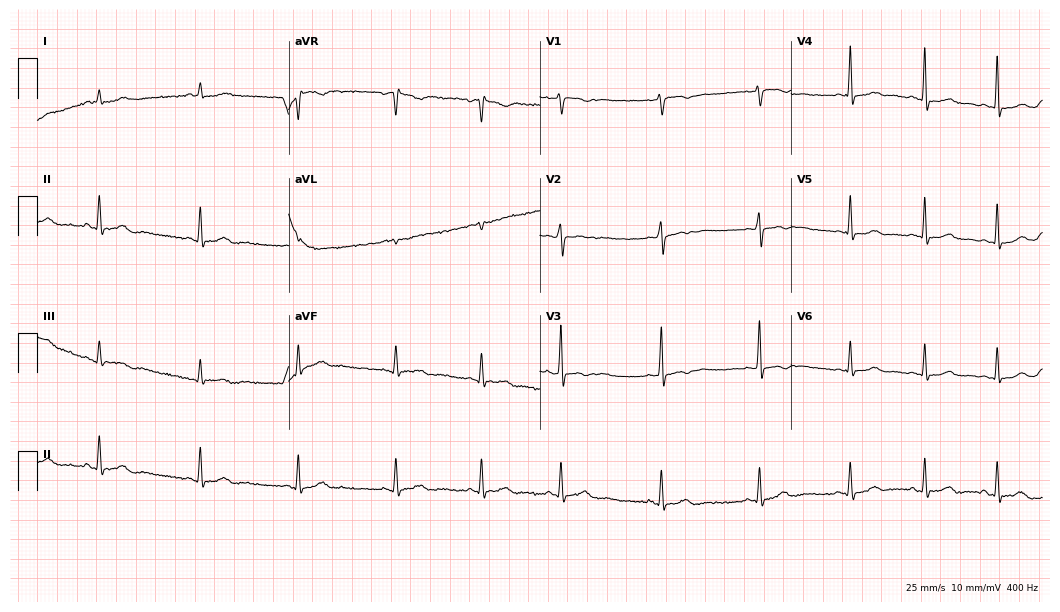
ECG — a woman, 18 years old. Screened for six findings — first-degree AV block, right bundle branch block, left bundle branch block, sinus bradycardia, atrial fibrillation, sinus tachycardia — none is recorded. Other findings, if any, are not listed.